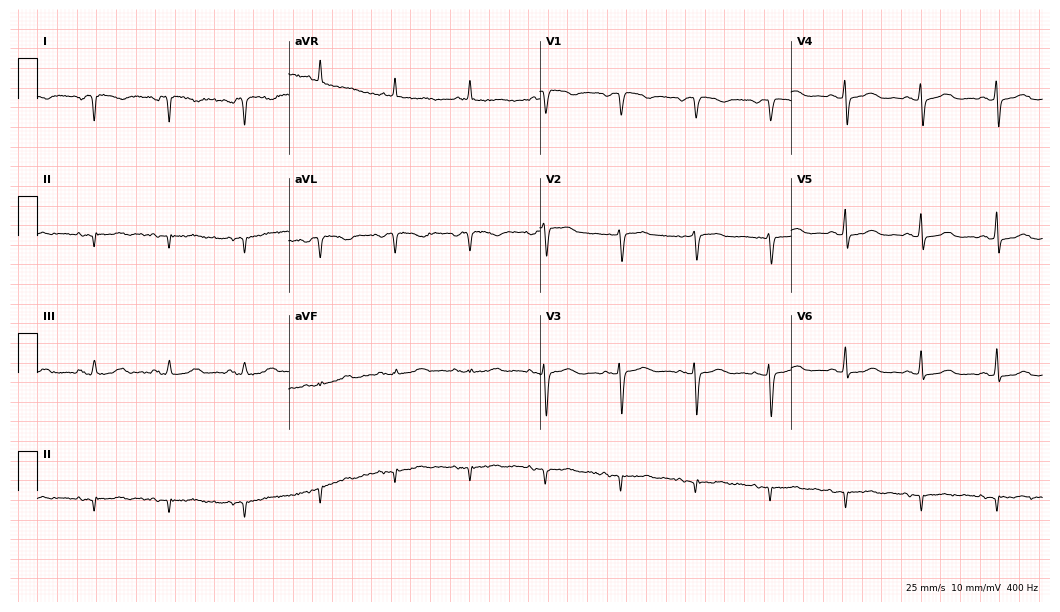
12-lead ECG (10.2-second recording at 400 Hz) from an 85-year-old female. Screened for six findings — first-degree AV block, right bundle branch block, left bundle branch block, sinus bradycardia, atrial fibrillation, sinus tachycardia — none is recorded.